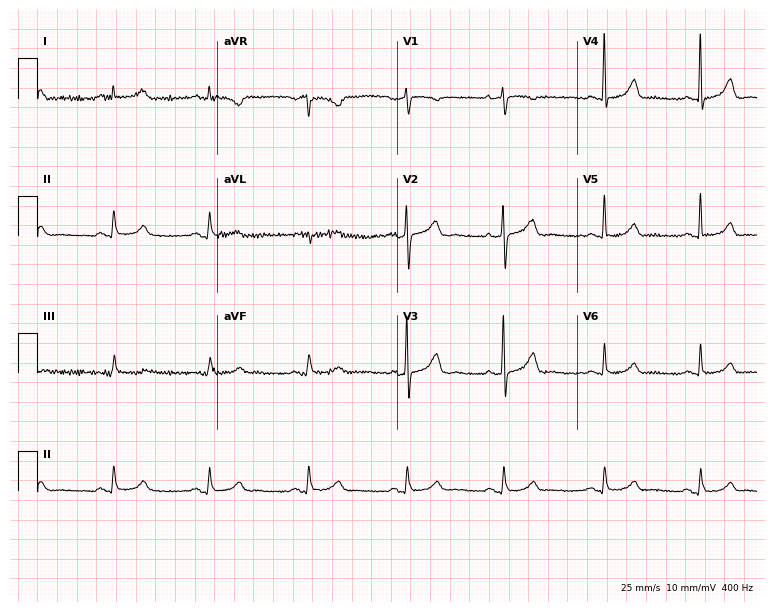
Electrocardiogram (7.3-second recording at 400 Hz), a 65-year-old female. Of the six screened findings (first-degree AV block, right bundle branch block, left bundle branch block, sinus bradycardia, atrial fibrillation, sinus tachycardia), none is recorded. Findings outside these six are not listed.